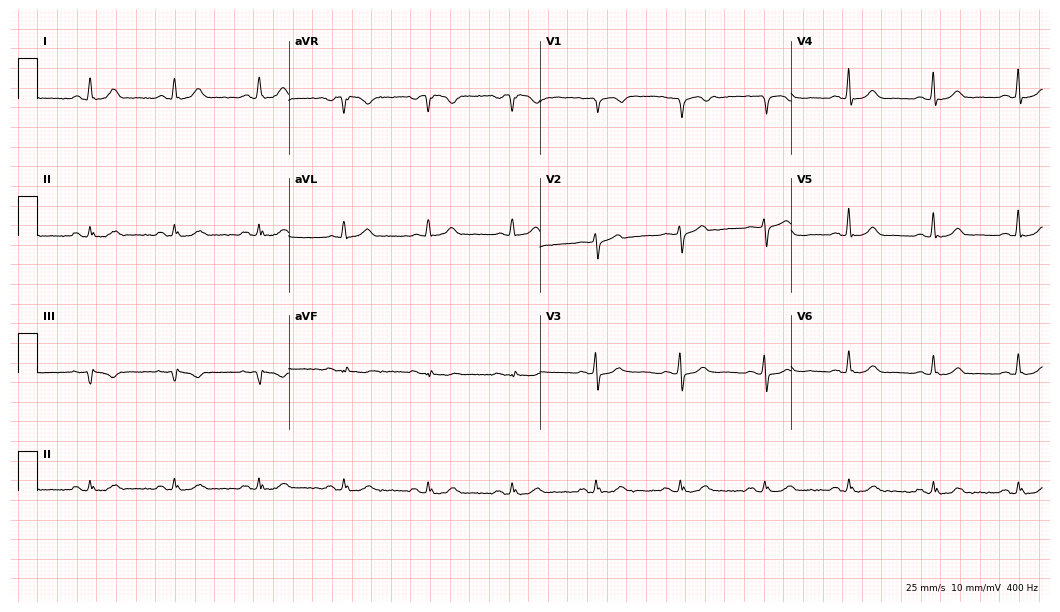
Resting 12-lead electrocardiogram (10.2-second recording at 400 Hz). Patient: a woman, 72 years old. None of these six findings is recorded: first-degree AV block, right bundle branch block, left bundle branch block, sinus bradycardia, atrial fibrillation, sinus tachycardia. Only these six findings were labelled.